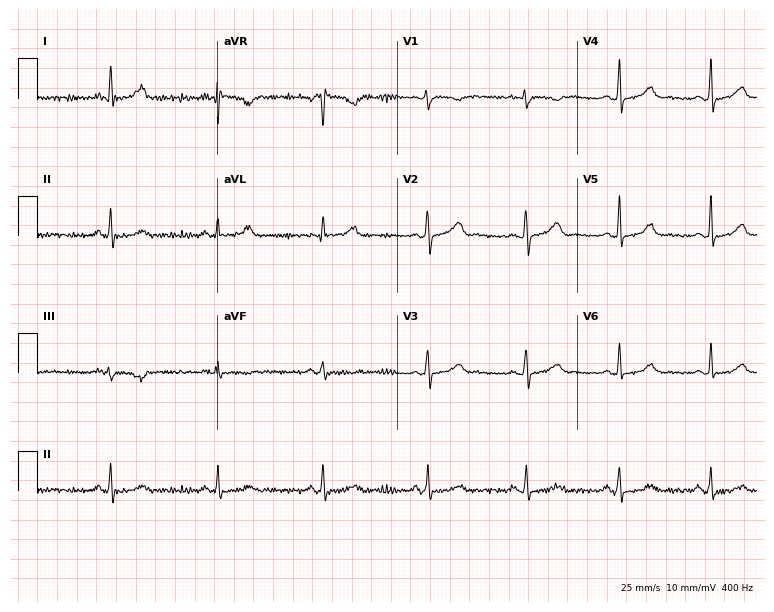
12-lead ECG from a 36-year-old female patient. Labelled as a normal ECG.